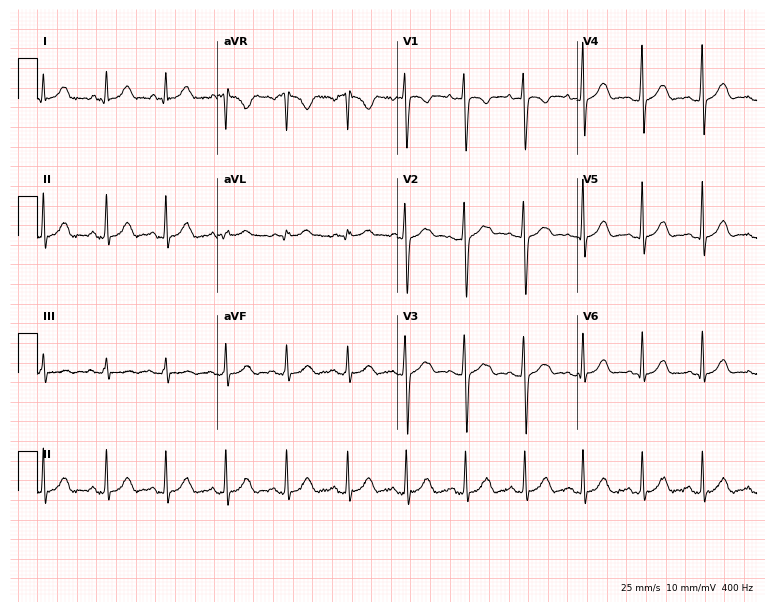
ECG — a 33-year-old female. Labelled as a normal ECG.